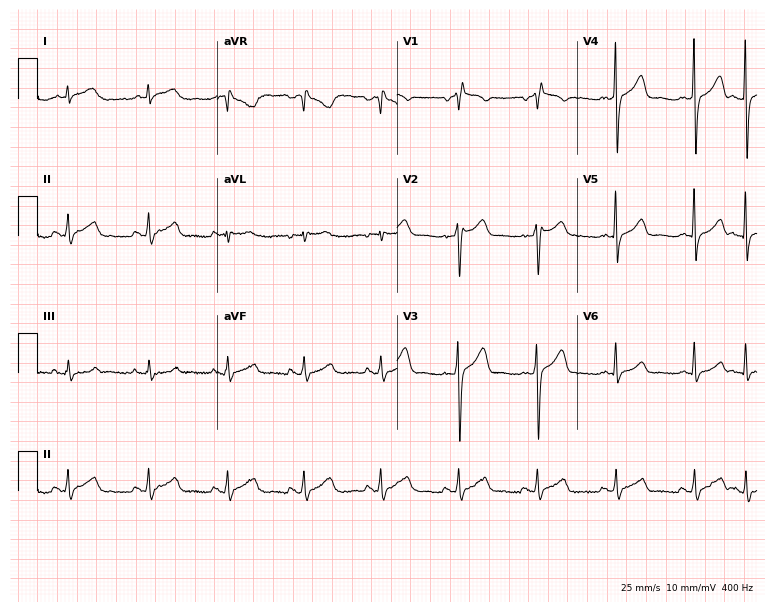
12-lead ECG from a male, 61 years old. Screened for six findings — first-degree AV block, right bundle branch block, left bundle branch block, sinus bradycardia, atrial fibrillation, sinus tachycardia — none is recorded.